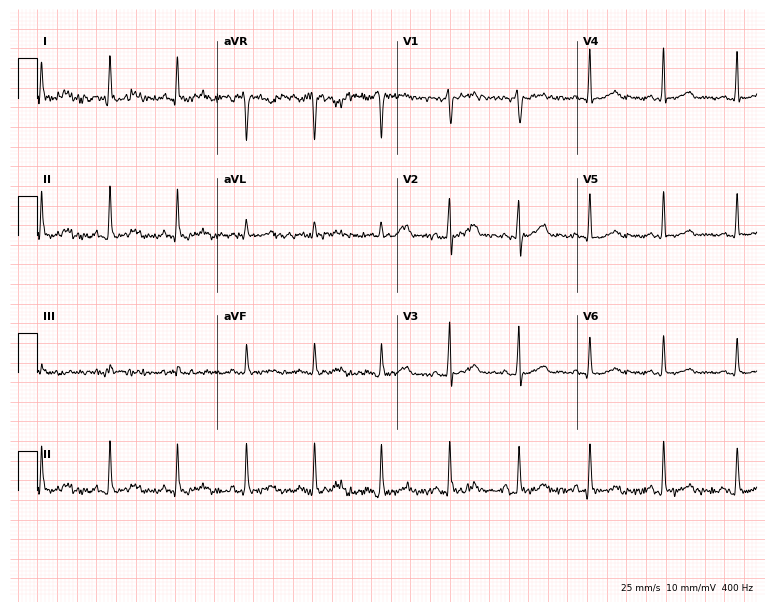
Standard 12-lead ECG recorded from a female patient, 38 years old. Read as a normal ECG.